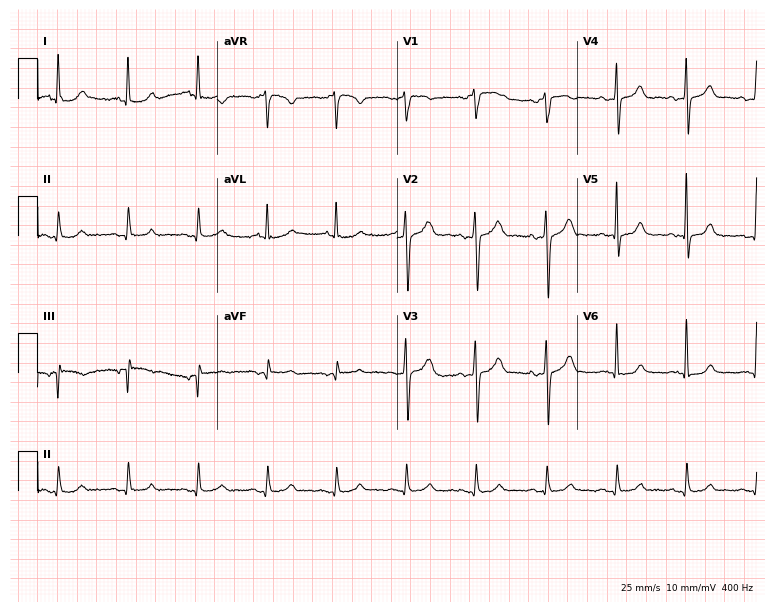
Electrocardiogram, a 71-year-old man. Overall reading on record: normal ECG.